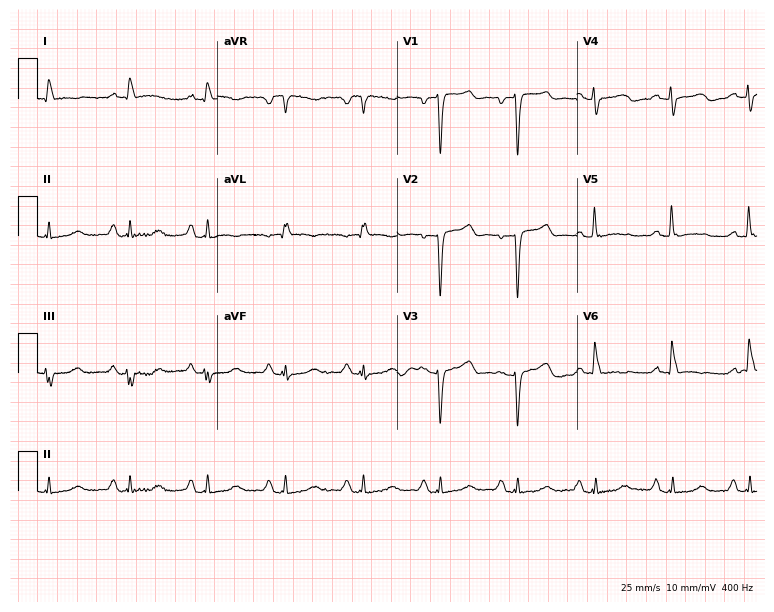
ECG — a female patient, 82 years old. Screened for six findings — first-degree AV block, right bundle branch block, left bundle branch block, sinus bradycardia, atrial fibrillation, sinus tachycardia — none is recorded. Only these six findings were labelled.